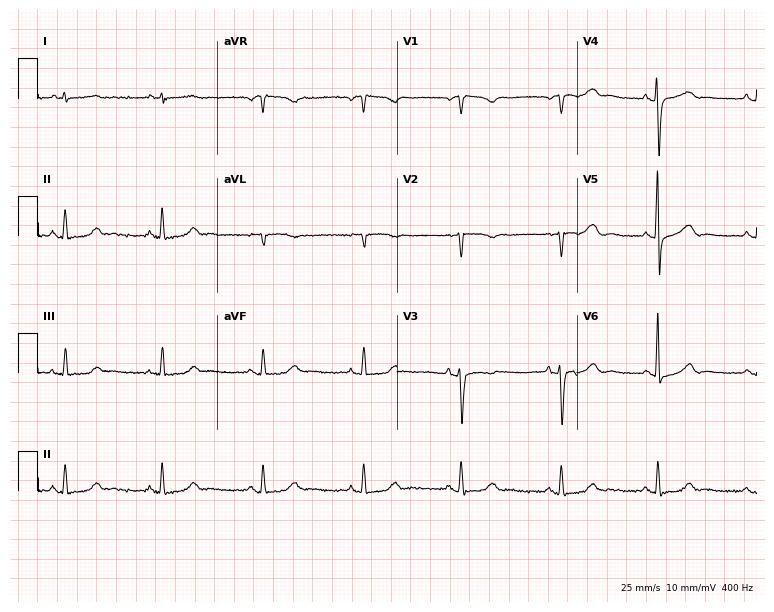
ECG (7.3-second recording at 400 Hz) — a female, 62 years old. Screened for six findings — first-degree AV block, right bundle branch block, left bundle branch block, sinus bradycardia, atrial fibrillation, sinus tachycardia — none is recorded.